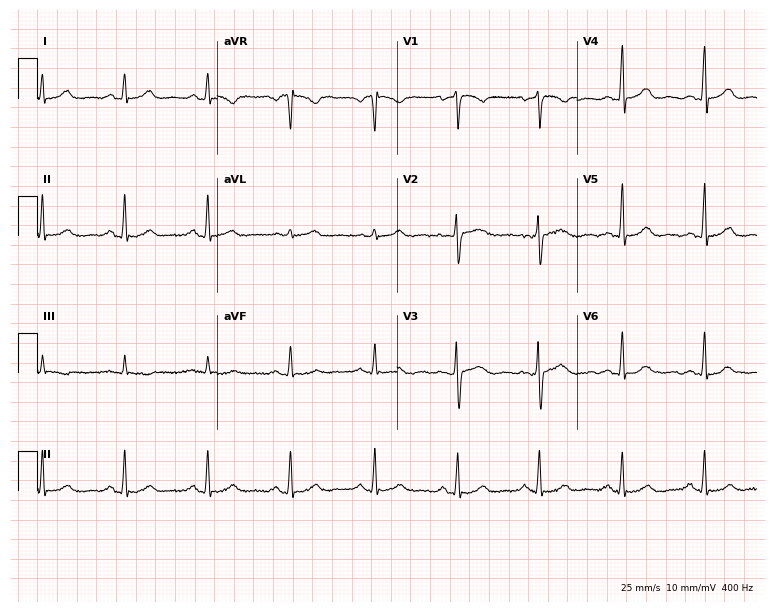
ECG (7.3-second recording at 400 Hz) — a woman, 49 years old. Screened for six findings — first-degree AV block, right bundle branch block (RBBB), left bundle branch block (LBBB), sinus bradycardia, atrial fibrillation (AF), sinus tachycardia — none is recorded.